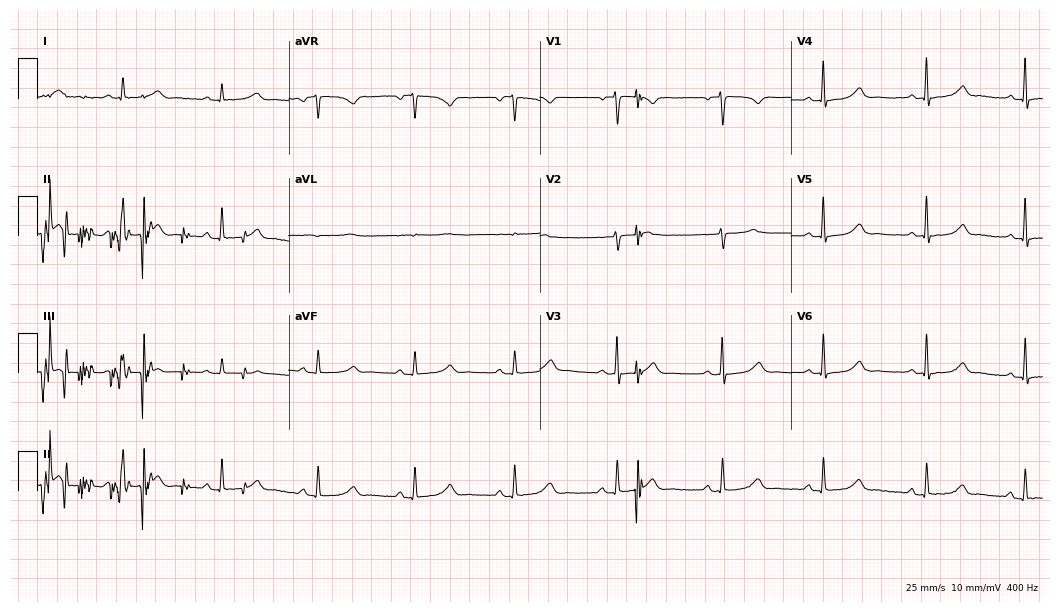
Electrocardiogram, a 42-year-old female. Of the six screened findings (first-degree AV block, right bundle branch block (RBBB), left bundle branch block (LBBB), sinus bradycardia, atrial fibrillation (AF), sinus tachycardia), none is recorded. Only these six findings were labelled.